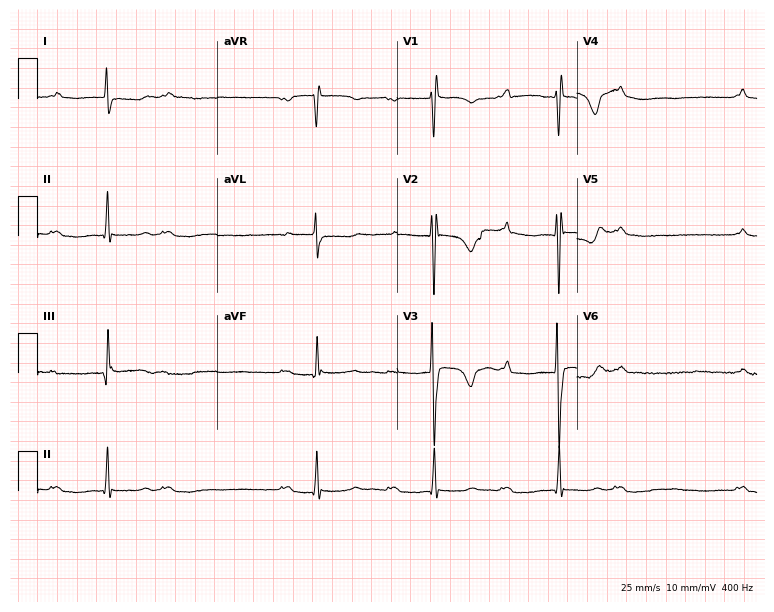
12-lead ECG from a 50-year-old male patient. Screened for six findings — first-degree AV block, right bundle branch block (RBBB), left bundle branch block (LBBB), sinus bradycardia, atrial fibrillation (AF), sinus tachycardia — none is recorded. Findings outside these six are not listed.